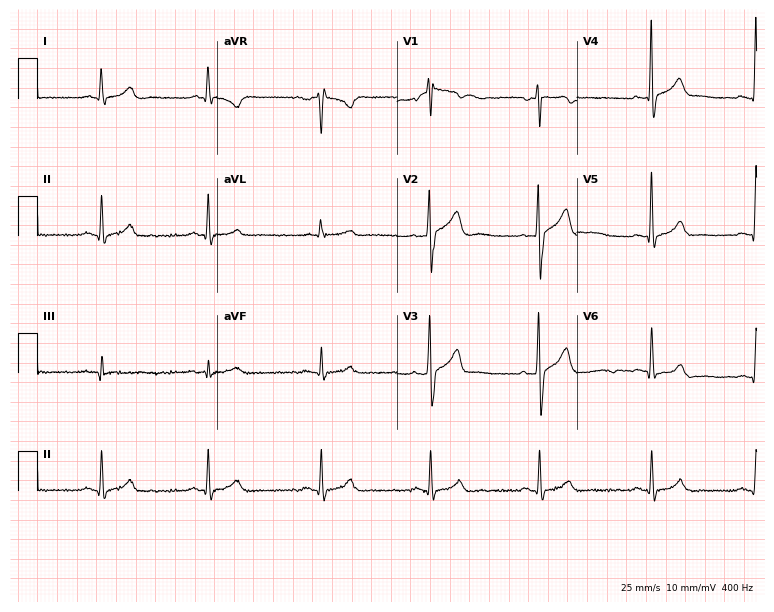
12-lead ECG (7.3-second recording at 400 Hz) from a male patient, 32 years old. Screened for six findings — first-degree AV block, right bundle branch block, left bundle branch block, sinus bradycardia, atrial fibrillation, sinus tachycardia — none is recorded.